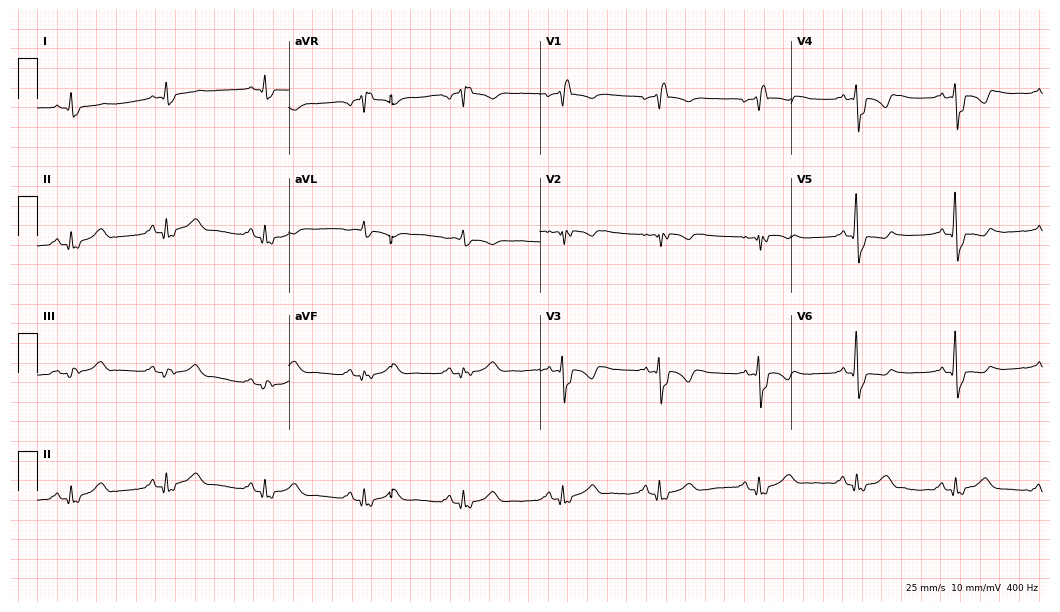
Electrocardiogram, a 68-year-old man. Interpretation includes right bundle branch block (RBBB).